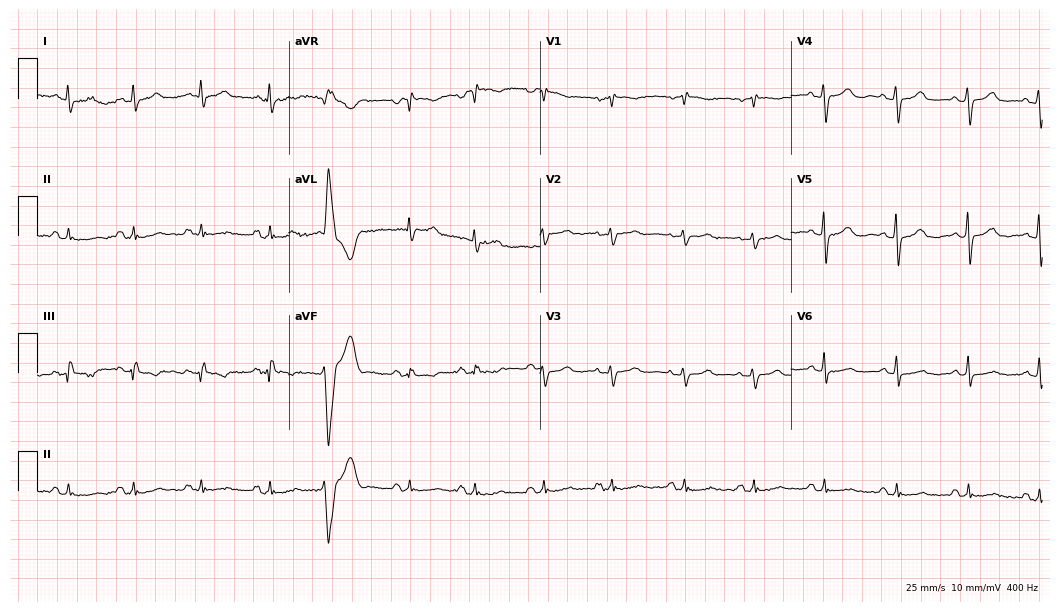
ECG — a 66-year-old woman. Screened for six findings — first-degree AV block, right bundle branch block, left bundle branch block, sinus bradycardia, atrial fibrillation, sinus tachycardia — none is recorded.